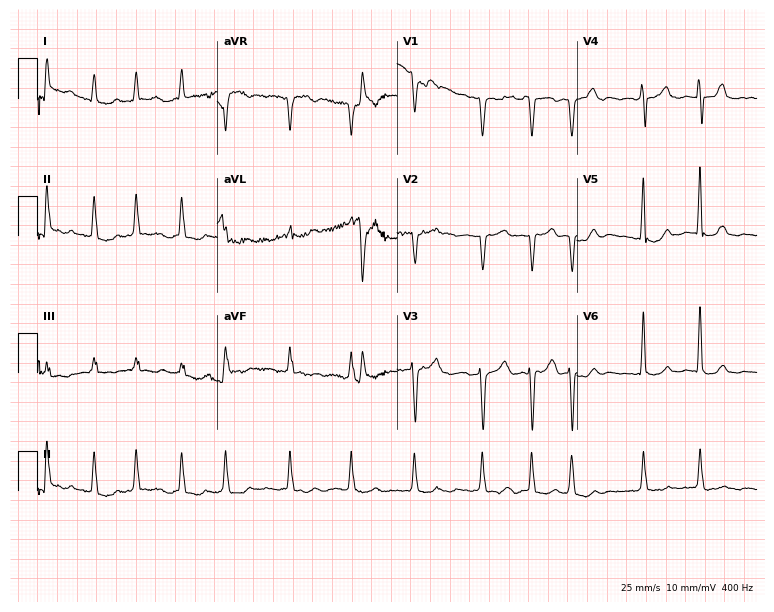
12-lead ECG from a 42-year-old man. Shows atrial fibrillation (AF).